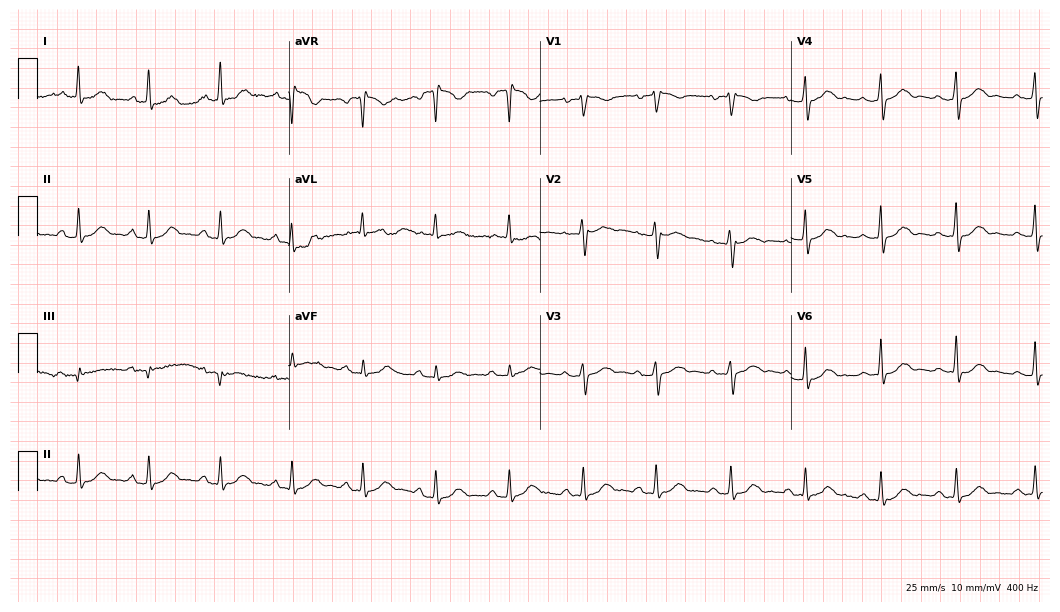
12-lead ECG from a woman, 58 years old. Recorded interpretation: within normal limits.